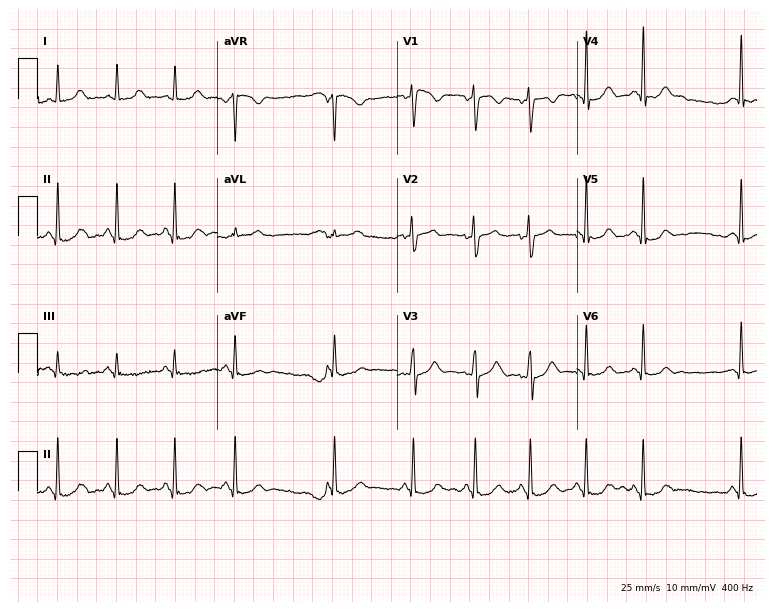
Standard 12-lead ECG recorded from a female, 17 years old. Read as a normal ECG.